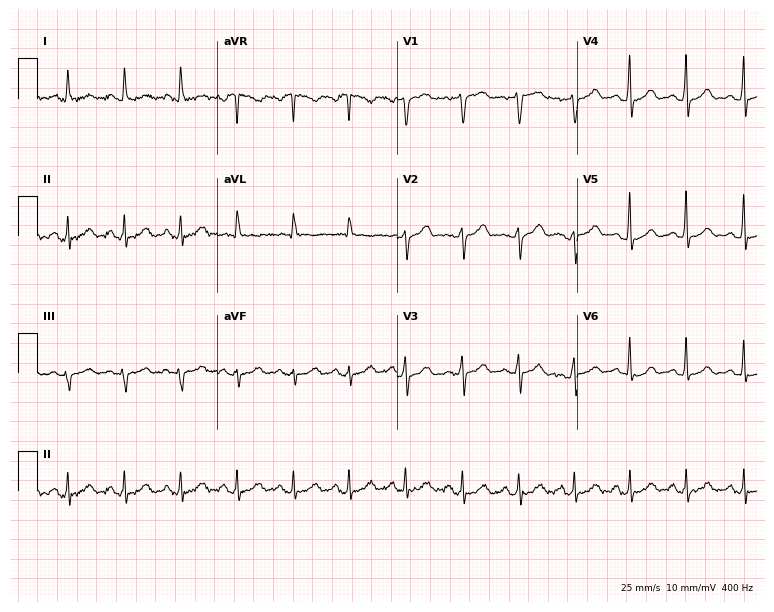
12-lead ECG (7.3-second recording at 400 Hz) from a female patient, 45 years old. Findings include sinus tachycardia (a sinus rate of 100 beats per minute or more).